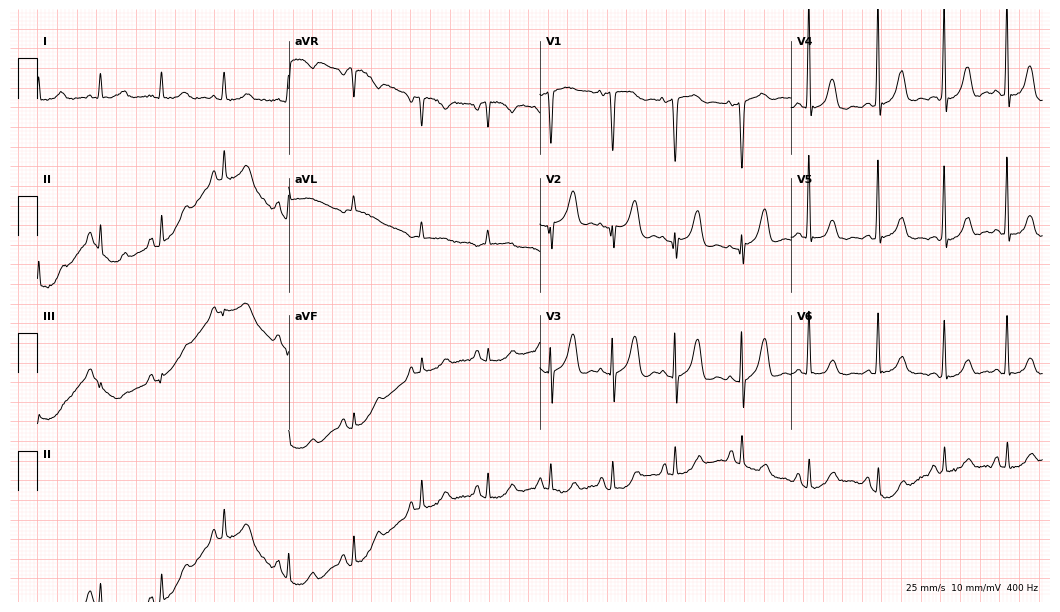
ECG (10.2-second recording at 400 Hz) — a 55-year-old woman. Screened for six findings — first-degree AV block, right bundle branch block, left bundle branch block, sinus bradycardia, atrial fibrillation, sinus tachycardia — none is recorded.